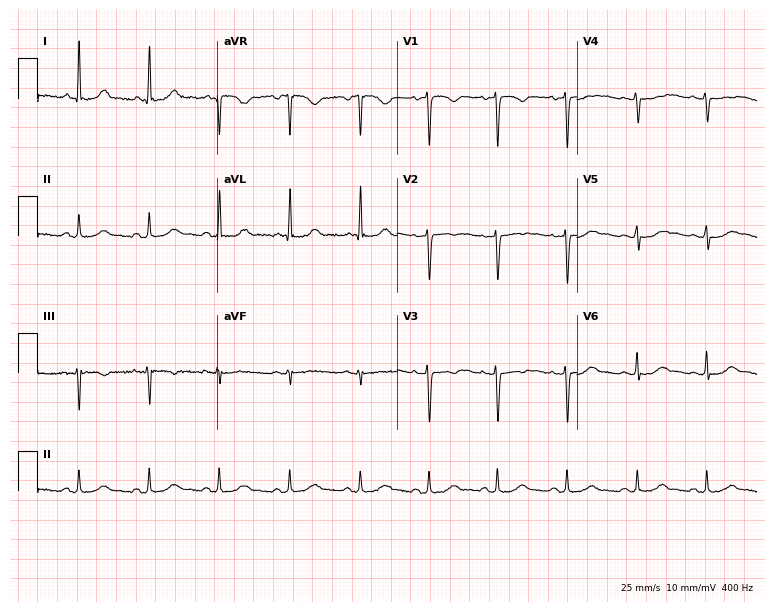
Electrocardiogram, a 46-year-old female. Of the six screened findings (first-degree AV block, right bundle branch block, left bundle branch block, sinus bradycardia, atrial fibrillation, sinus tachycardia), none is recorded.